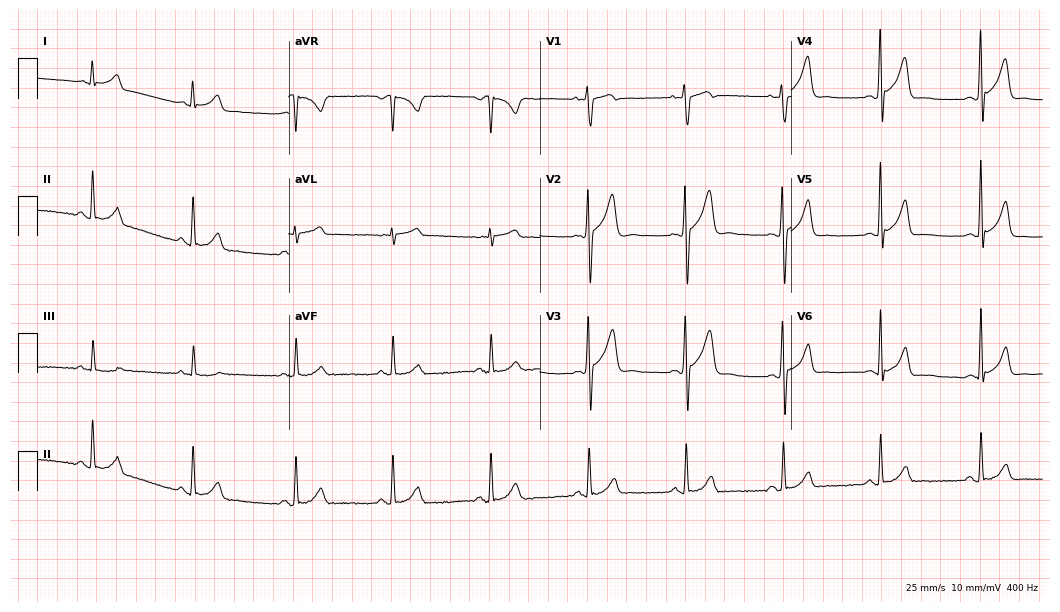
12-lead ECG from a 22-year-old male patient. Recorded interpretation: within normal limits.